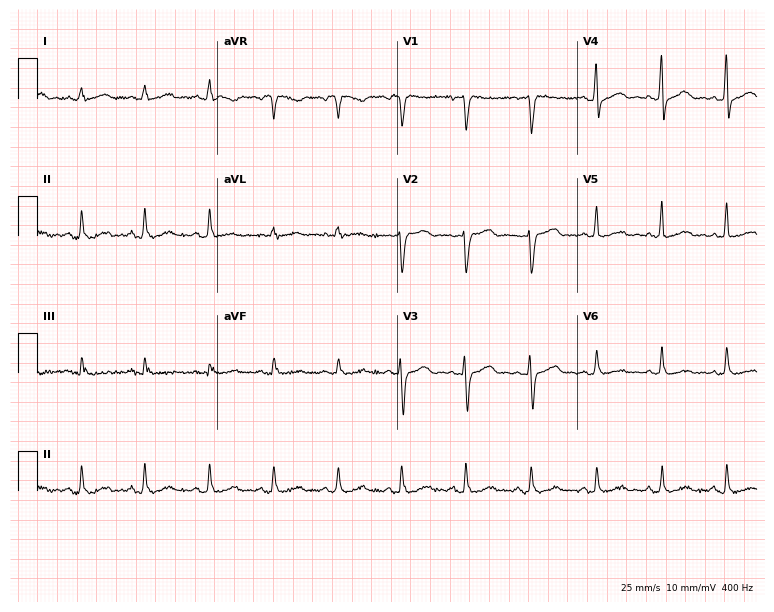
Resting 12-lead electrocardiogram (7.3-second recording at 400 Hz). Patient: a 42-year-old woman. None of these six findings is recorded: first-degree AV block, right bundle branch block, left bundle branch block, sinus bradycardia, atrial fibrillation, sinus tachycardia. Other findings, if any, are not listed.